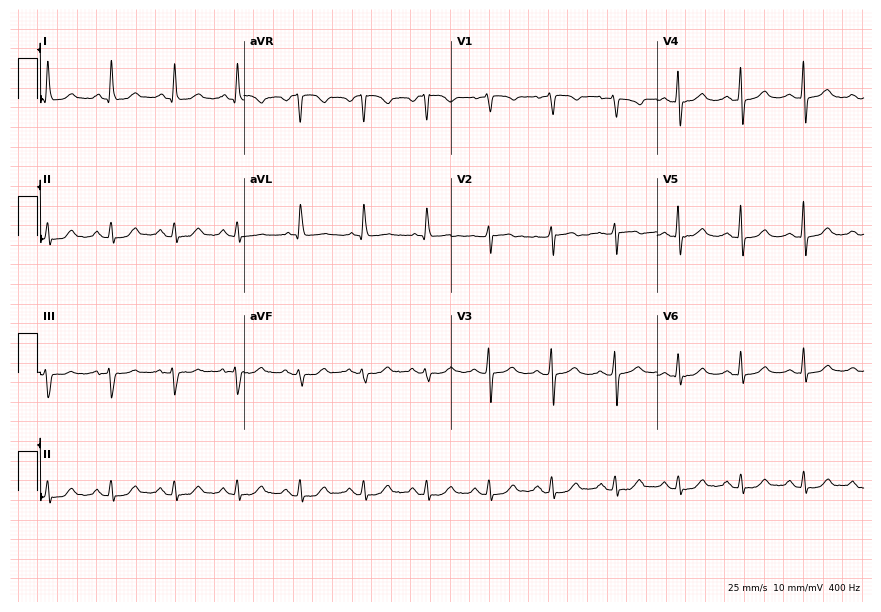
Resting 12-lead electrocardiogram. Patient: a female, 66 years old. Read as a normal ECG.